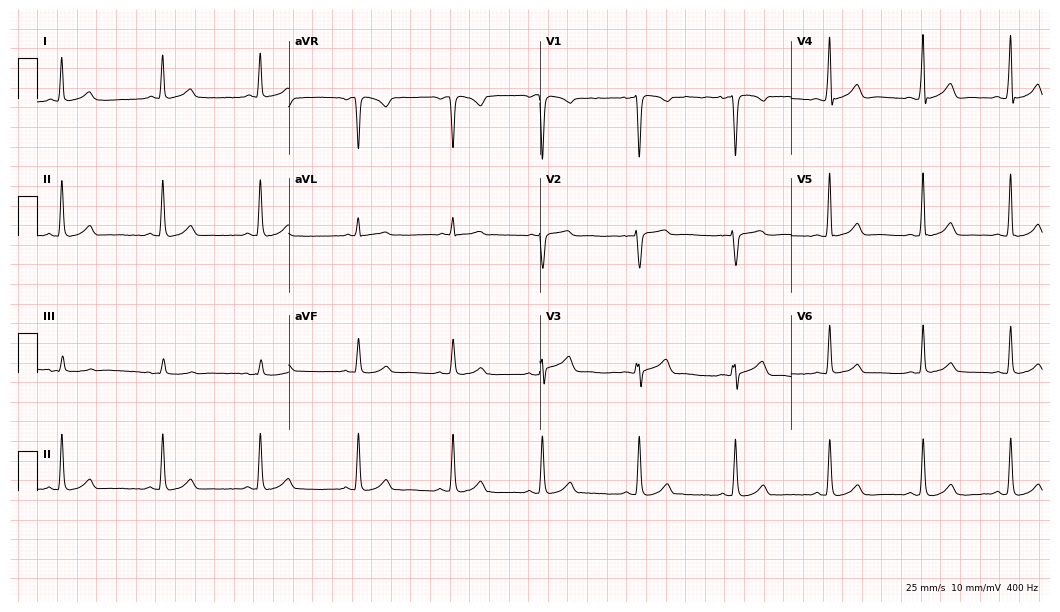
Electrocardiogram, a 30-year-old woman. Of the six screened findings (first-degree AV block, right bundle branch block, left bundle branch block, sinus bradycardia, atrial fibrillation, sinus tachycardia), none is recorded.